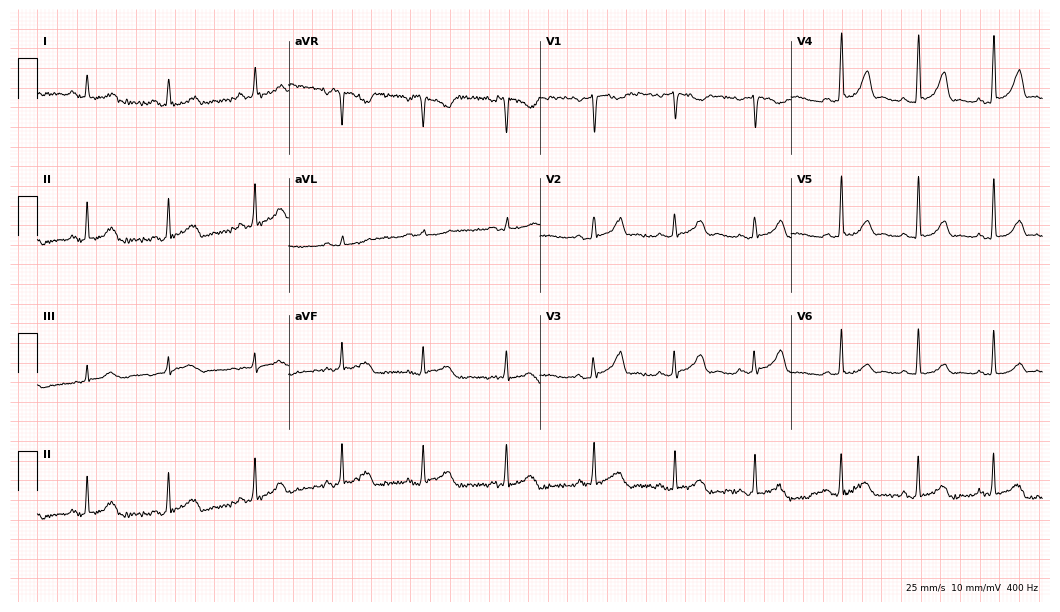
Standard 12-lead ECG recorded from a 31-year-old female (10.2-second recording at 400 Hz). None of these six findings is recorded: first-degree AV block, right bundle branch block, left bundle branch block, sinus bradycardia, atrial fibrillation, sinus tachycardia.